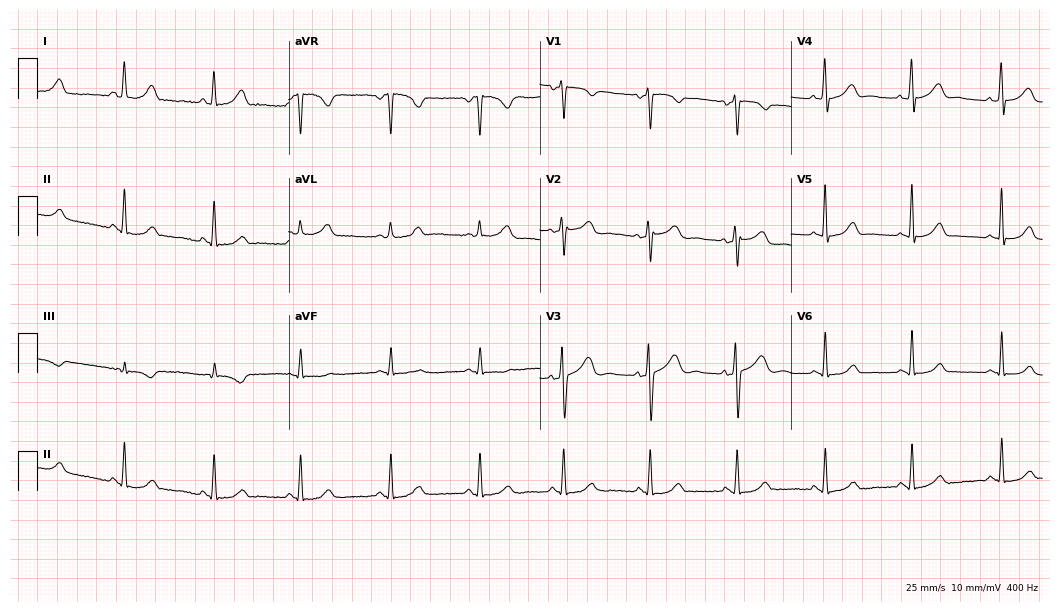
Standard 12-lead ECG recorded from a 27-year-old woman (10.2-second recording at 400 Hz). None of these six findings is recorded: first-degree AV block, right bundle branch block, left bundle branch block, sinus bradycardia, atrial fibrillation, sinus tachycardia.